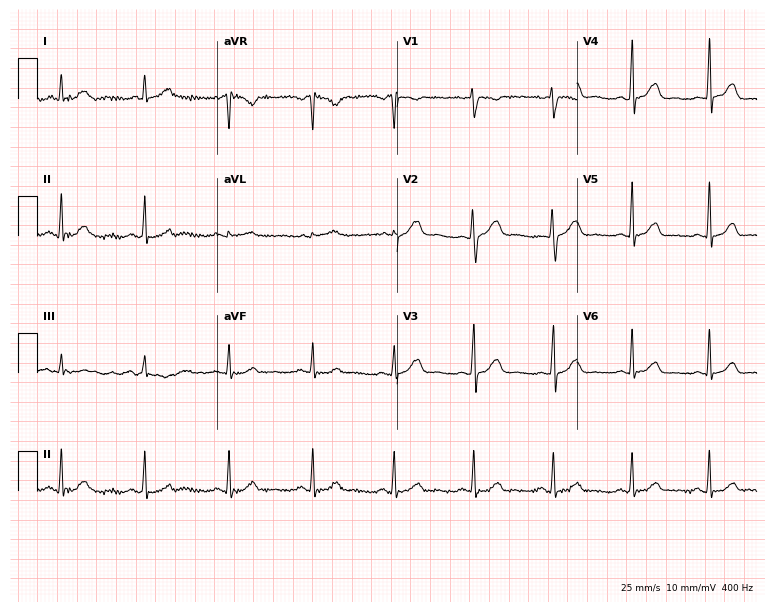
12-lead ECG from a 32-year-old female patient (7.3-second recording at 400 Hz). Recorded interpretation: within normal limits.